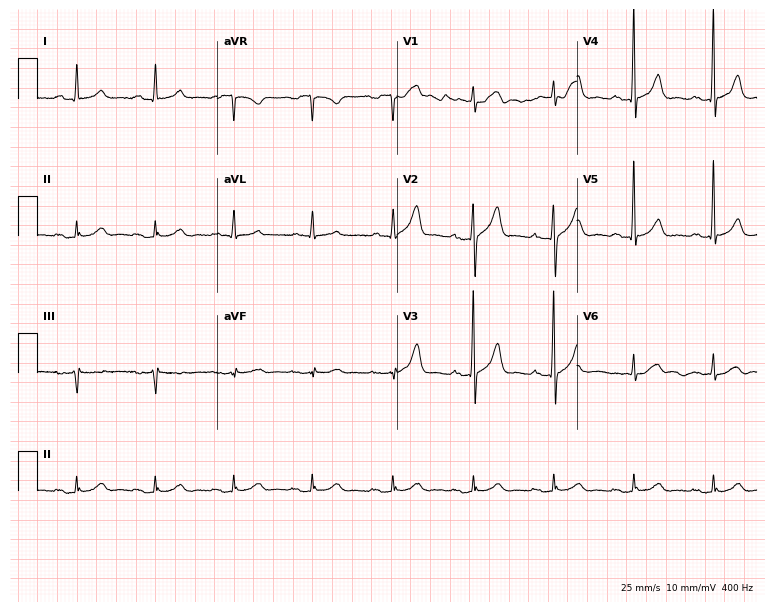
12-lead ECG from a 76-year-old man (7.3-second recording at 400 Hz). Recorded interpretation: within normal limits.